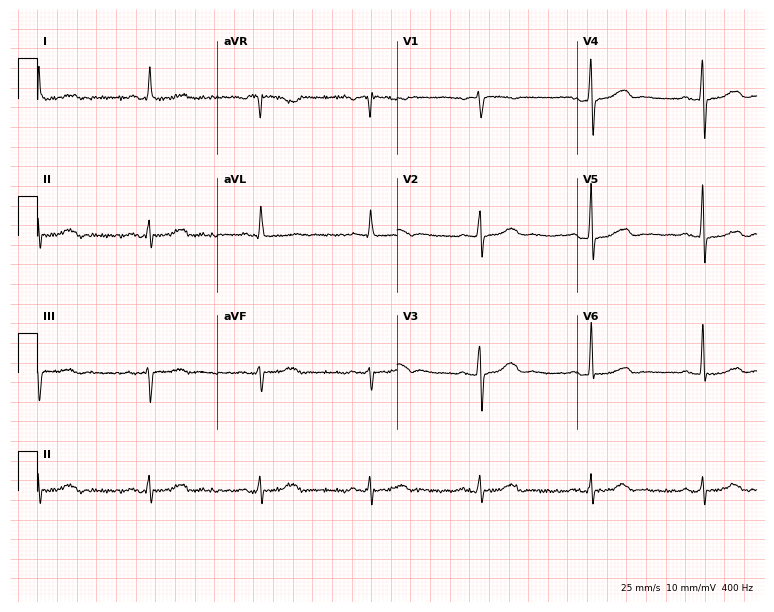
12-lead ECG from an 83-year-old female (7.3-second recording at 400 Hz). No first-degree AV block, right bundle branch block (RBBB), left bundle branch block (LBBB), sinus bradycardia, atrial fibrillation (AF) or sinus tachycardia recorded for this tracing.